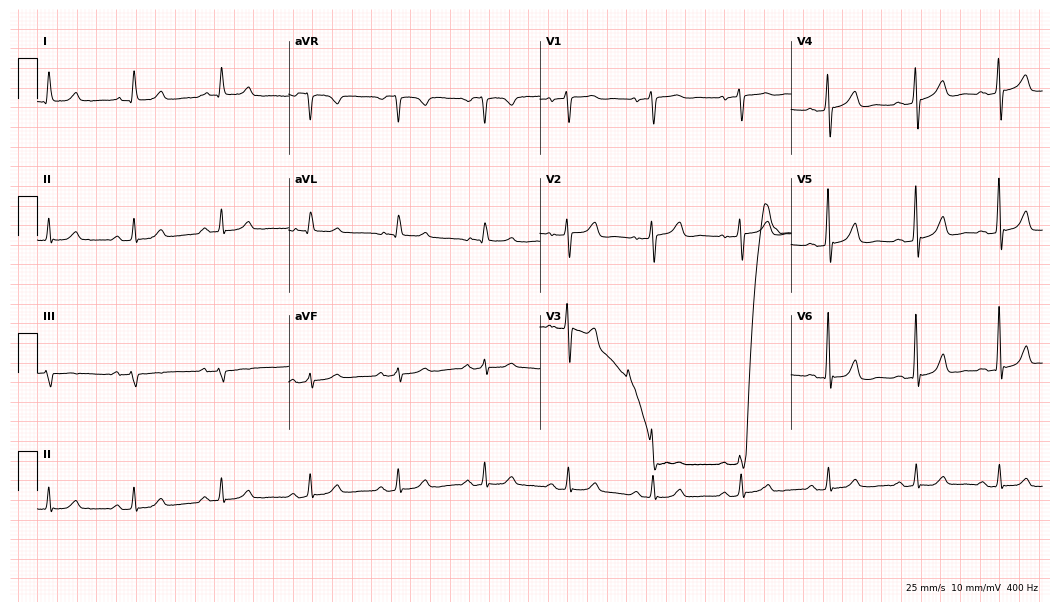
Standard 12-lead ECG recorded from a male patient, 76 years old (10.2-second recording at 400 Hz). Read as a normal ECG.